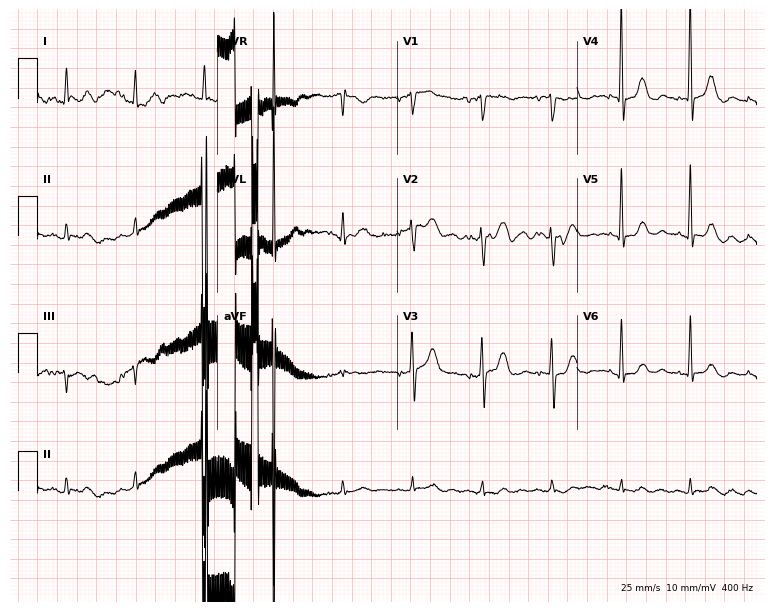
Resting 12-lead electrocardiogram (7.3-second recording at 400 Hz). Patient: a female, 84 years old. Read as a normal ECG.